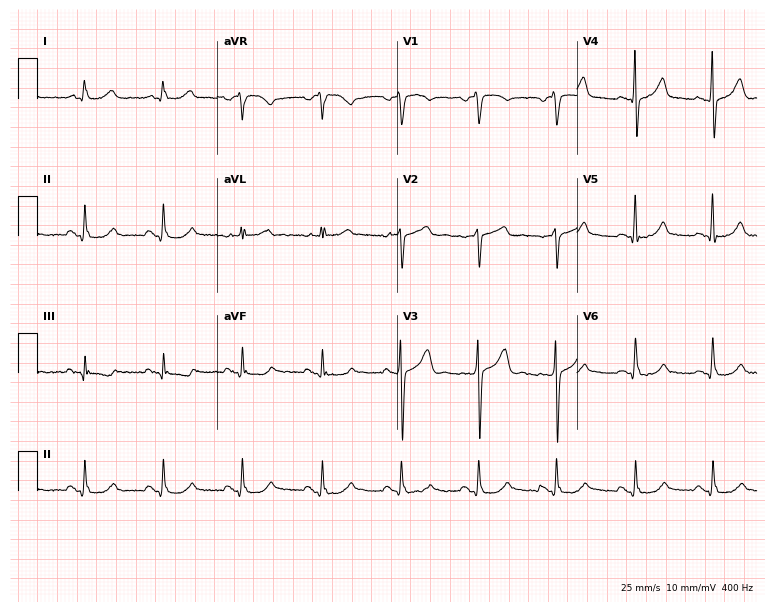
Electrocardiogram (7.3-second recording at 400 Hz), a male, 57 years old. Overall reading on record: normal ECG.